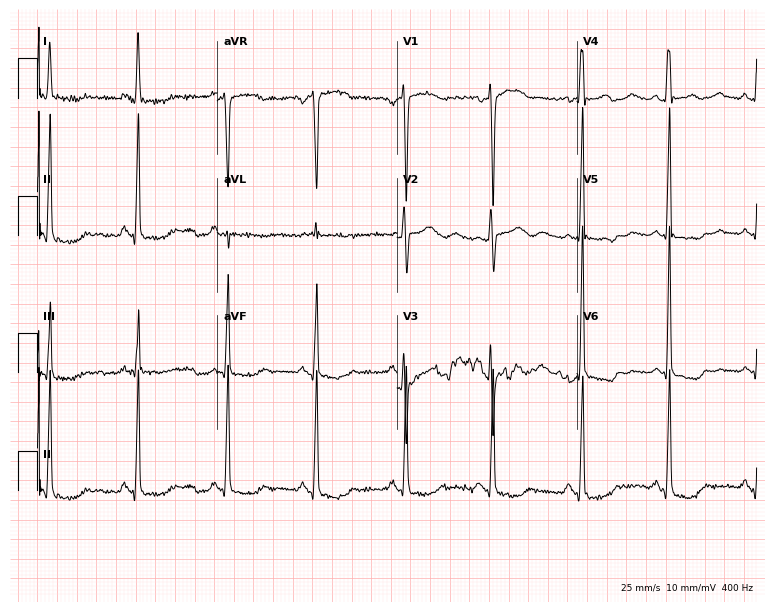
ECG (7.3-second recording at 400 Hz) — a woman, 54 years old. Screened for six findings — first-degree AV block, right bundle branch block, left bundle branch block, sinus bradycardia, atrial fibrillation, sinus tachycardia — none is recorded. Findings outside these six are not listed.